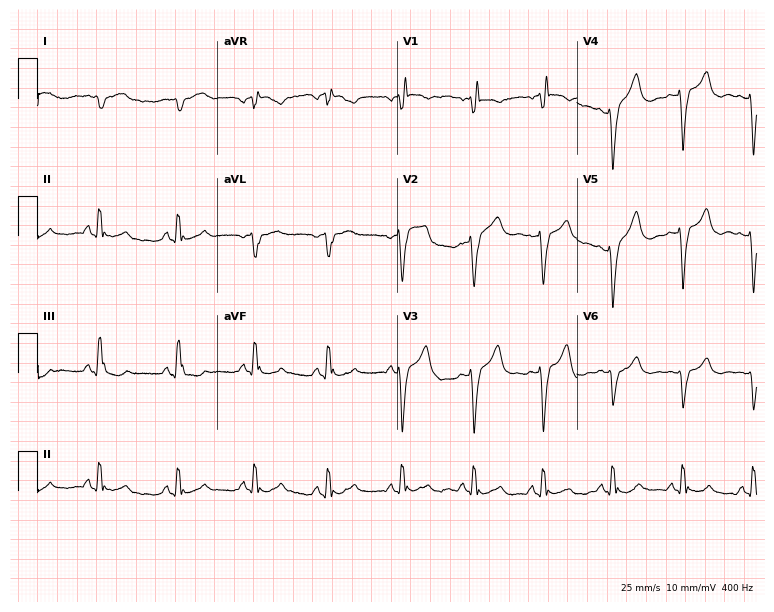
ECG — a 70-year-old male. Findings include right bundle branch block.